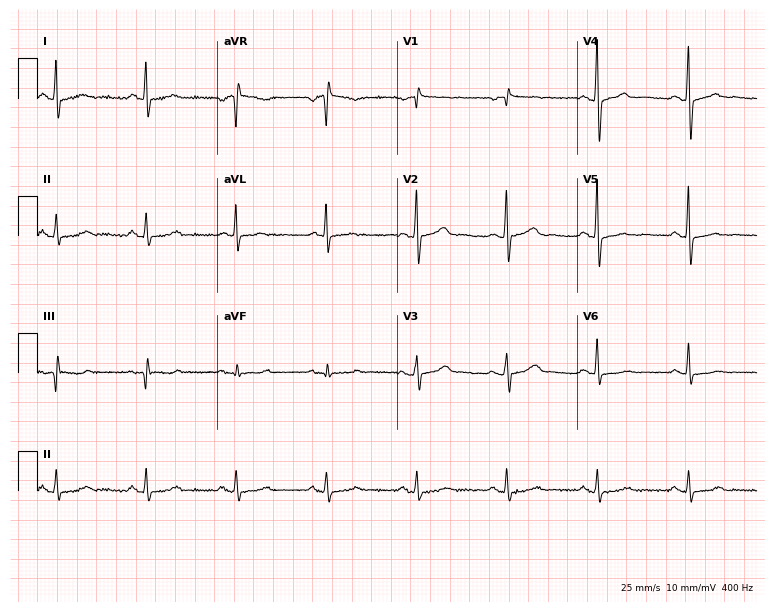
12-lead ECG from a 59-year-old female patient. Screened for six findings — first-degree AV block, right bundle branch block, left bundle branch block, sinus bradycardia, atrial fibrillation, sinus tachycardia — none is recorded. Only these six findings were labelled.